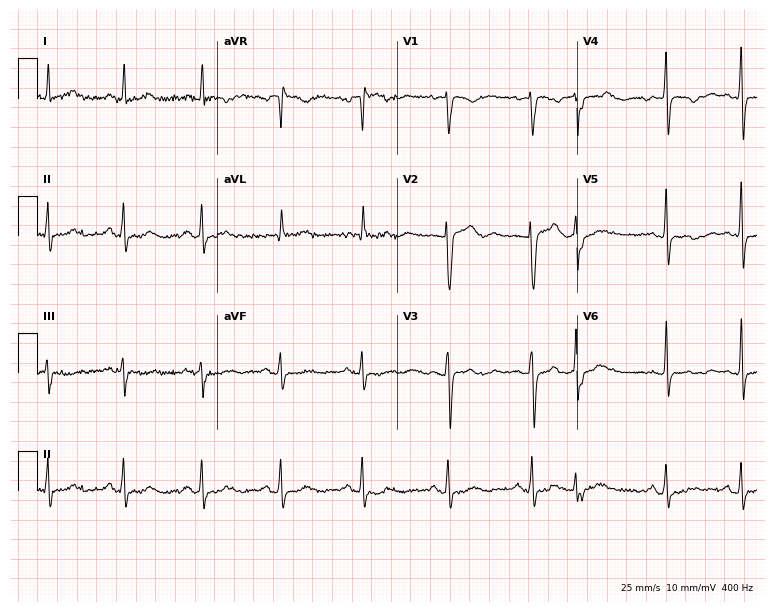
12-lead ECG from a 41-year-old female. No first-degree AV block, right bundle branch block (RBBB), left bundle branch block (LBBB), sinus bradycardia, atrial fibrillation (AF) or sinus tachycardia recorded for this tracing.